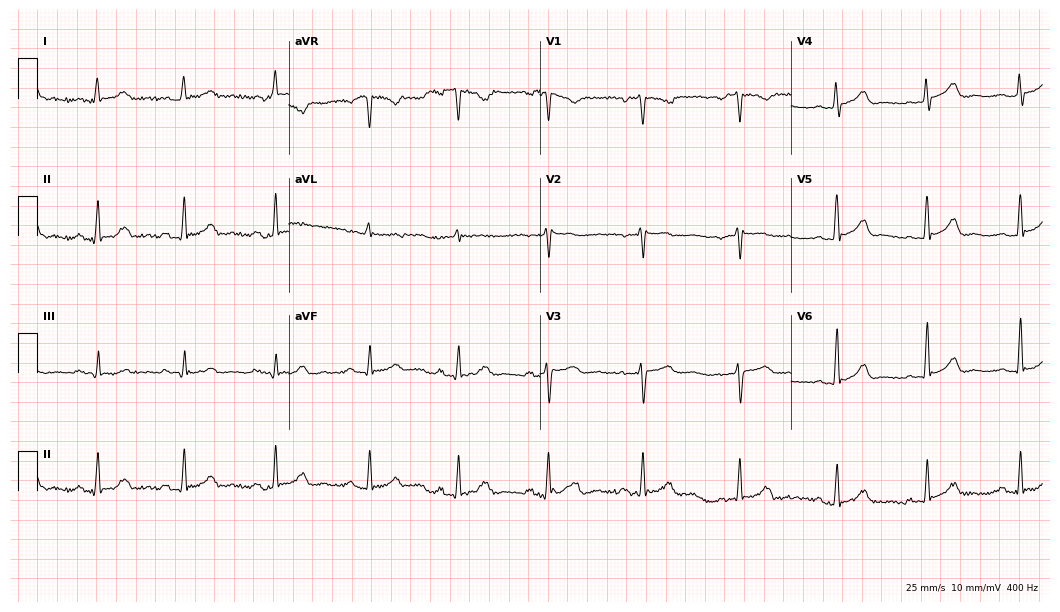
Standard 12-lead ECG recorded from a 37-year-old female (10.2-second recording at 400 Hz). Read as a normal ECG.